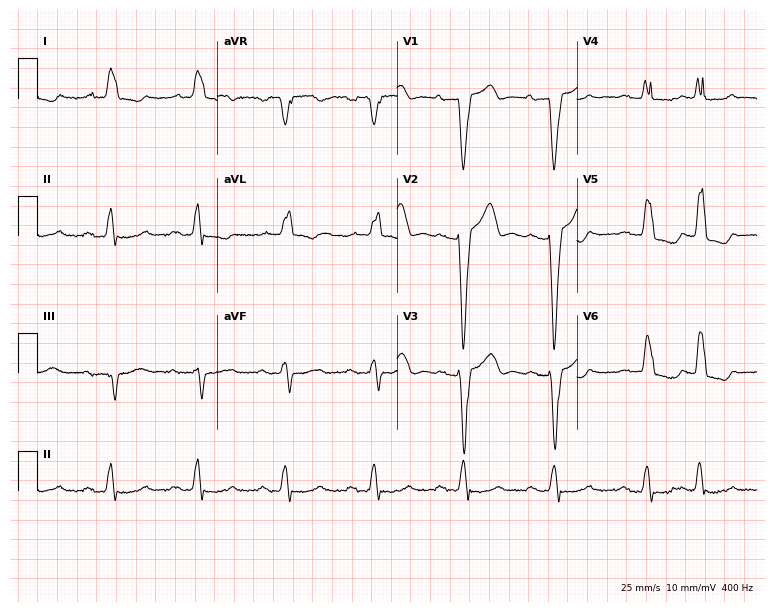
12-lead ECG from a 73-year-old female. Shows first-degree AV block, left bundle branch block.